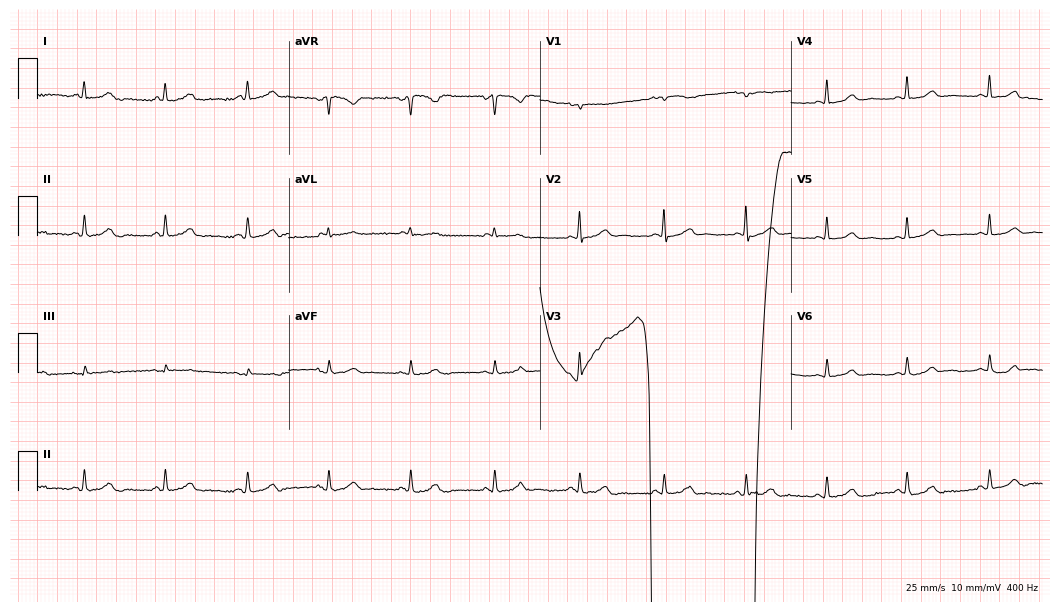
Resting 12-lead electrocardiogram (10.2-second recording at 400 Hz). Patient: a woman, 50 years old. None of these six findings is recorded: first-degree AV block, right bundle branch block (RBBB), left bundle branch block (LBBB), sinus bradycardia, atrial fibrillation (AF), sinus tachycardia. Findings outside these six are not listed.